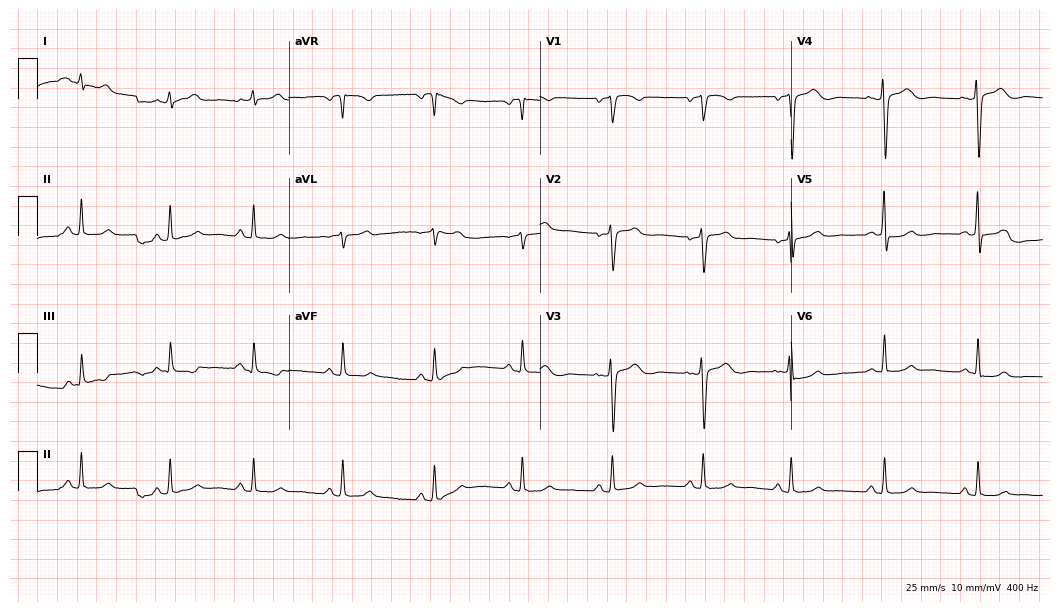
12-lead ECG (10.2-second recording at 400 Hz) from a 51-year-old female. Labelled as a normal ECG.